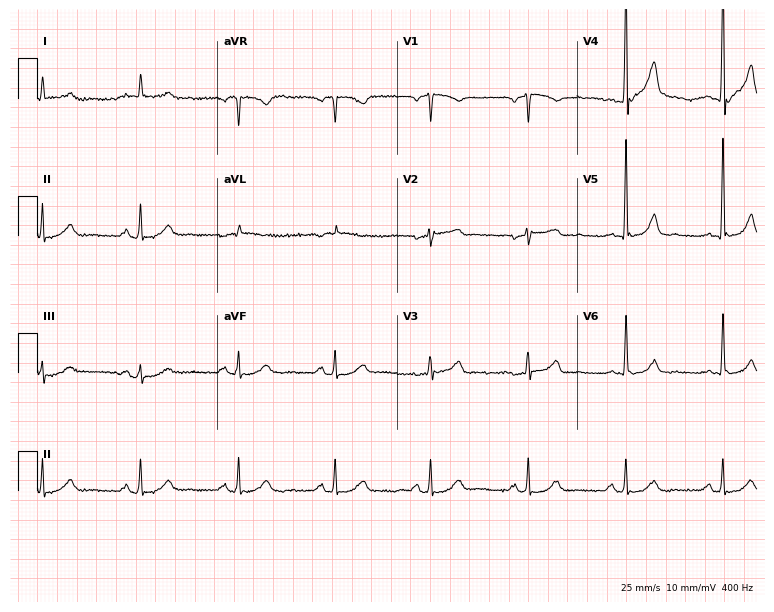
ECG (7.3-second recording at 400 Hz) — a male patient, 60 years old. Labelled as a normal ECG.